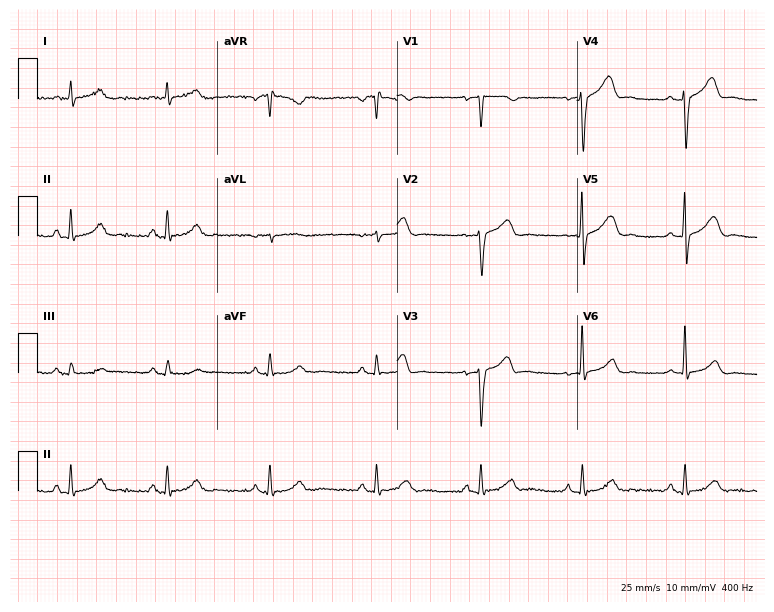
Standard 12-lead ECG recorded from a male, 54 years old. None of these six findings is recorded: first-degree AV block, right bundle branch block (RBBB), left bundle branch block (LBBB), sinus bradycardia, atrial fibrillation (AF), sinus tachycardia.